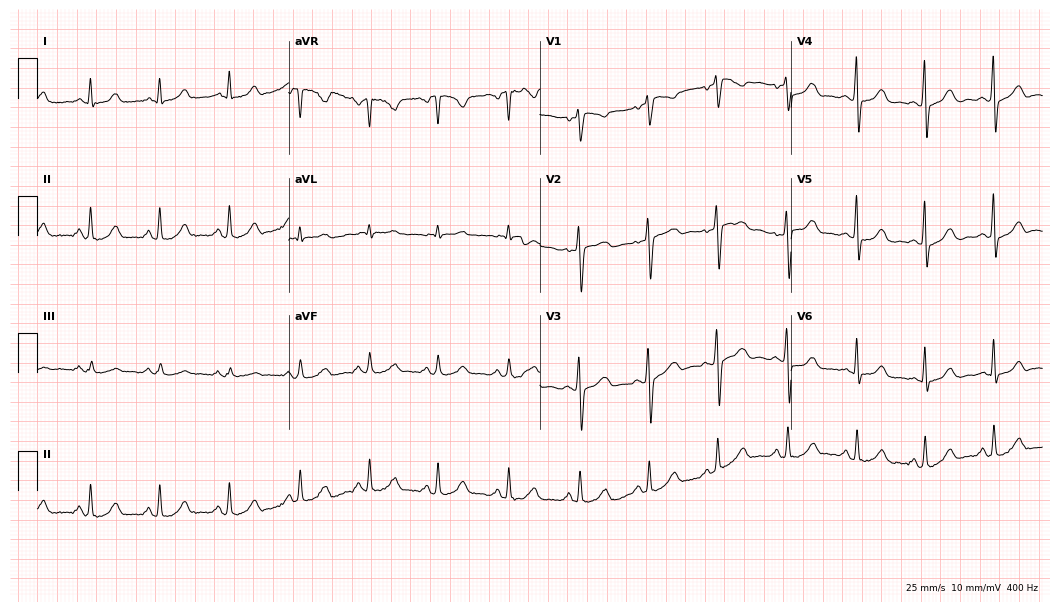
12-lead ECG from a 46-year-old female patient. Recorded interpretation: within normal limits.